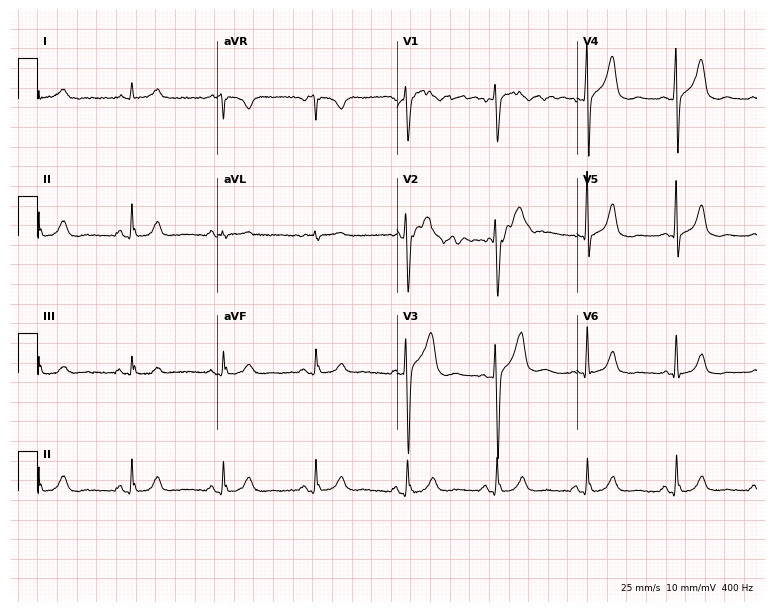
12-lead ECG from a 74-year-old male patient. Screened for six findings — first-degree AV block, right bundle branch block, left bundle branch block, sinus bradycardia, atrial fibrillation, sinus tachycardia — none is recorded. Findings outside these six are not listed.